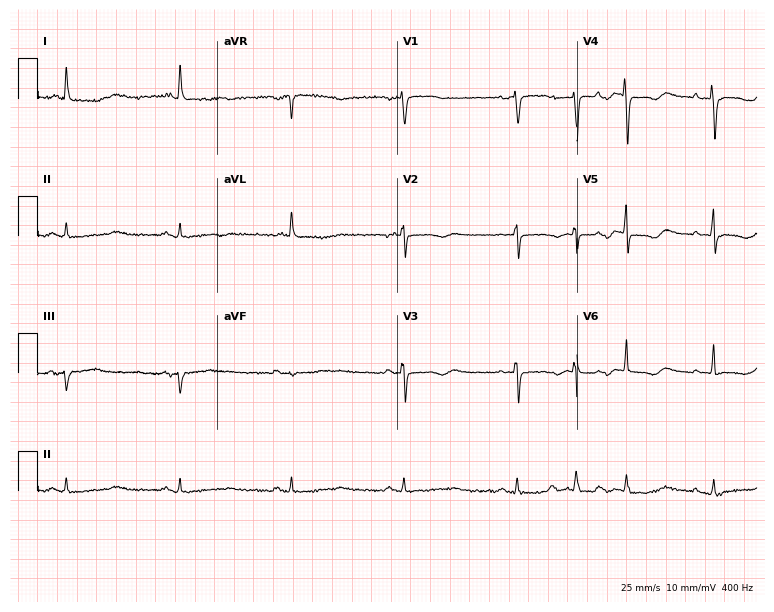
ECG (7.3-second recording at 400 Hz) — a 74-year-old woman. Screened for six findings — first-degree AV block, right bundle branch block (RBBB), left bundle branch block (LBBB), sinus bradycardia, atrial fibrillation (AF), sinus tachycardia — none is recorded. Findings outside these six are not listed.